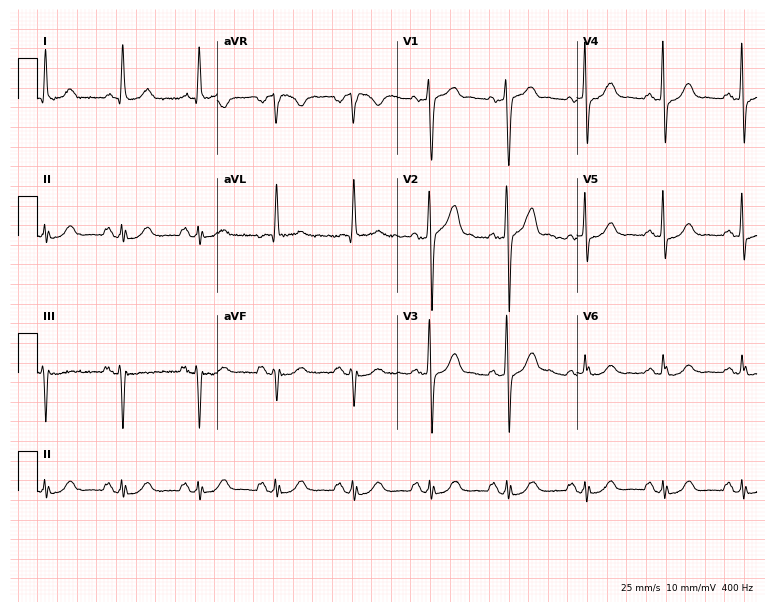
12-lead ECG from a 55-year-old man. Labelled as a normal ECG.